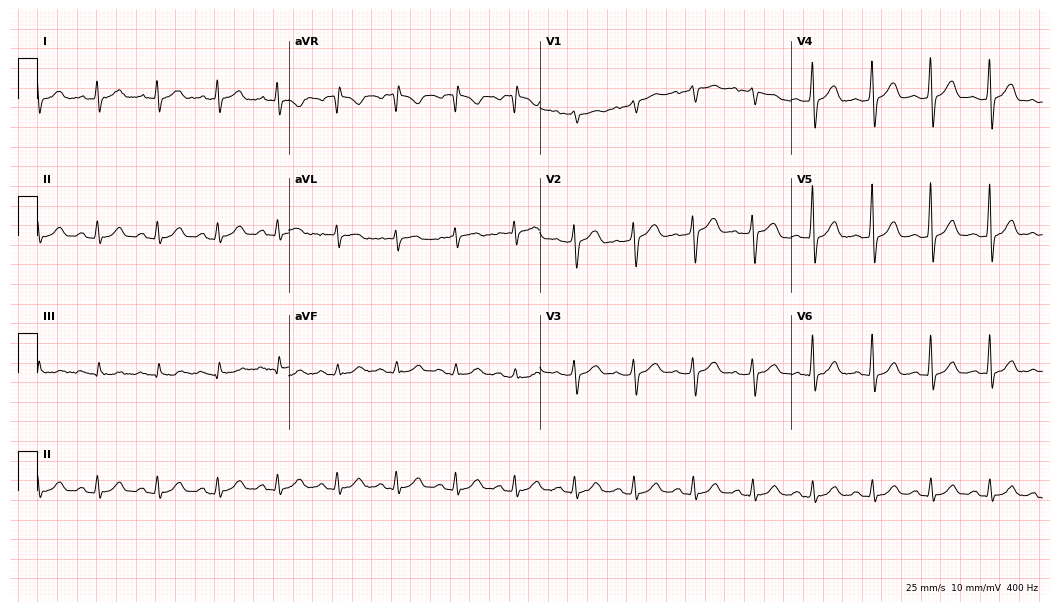
Resting 12-lead electrocardiogram (10.2-second recording at 400 Hz). Patient: a 51-year-old male. None of these six findings is recorded: first-degree AV block, right bundle branch block, left bundle branch block, sinus bradycardia, atrial fibrillation, sinus tachycardia. Findings outside these six are not listed.